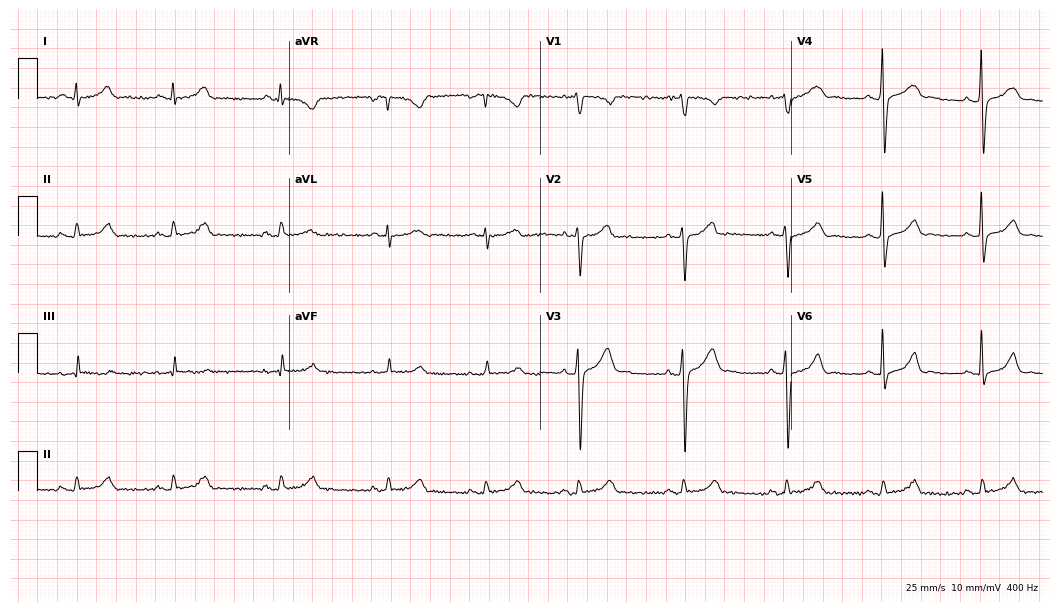
Electrocardiogram (10.2-second recording at 400 Hz), a 37-year-old man. Overall reading on record: normal ECG.